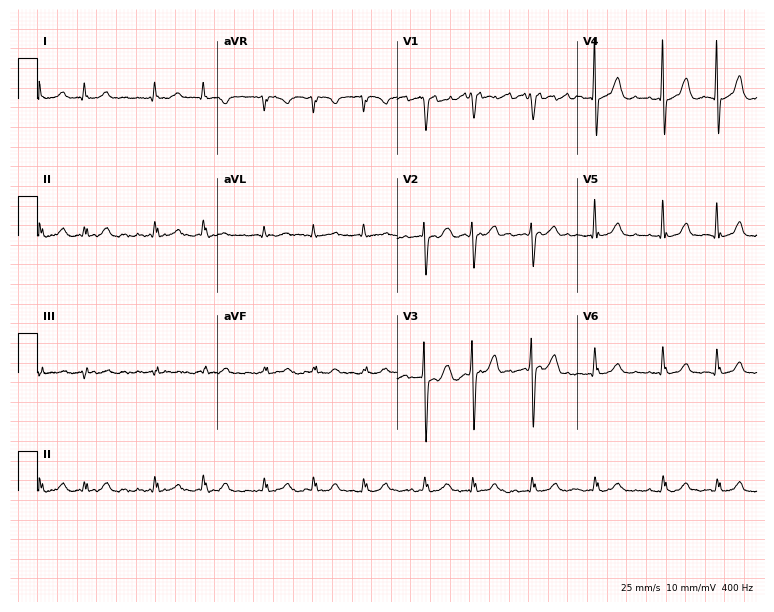
Standard 12-lead ECG recorded from a female, 82 years old. The tracing shows atrial fibrillation.